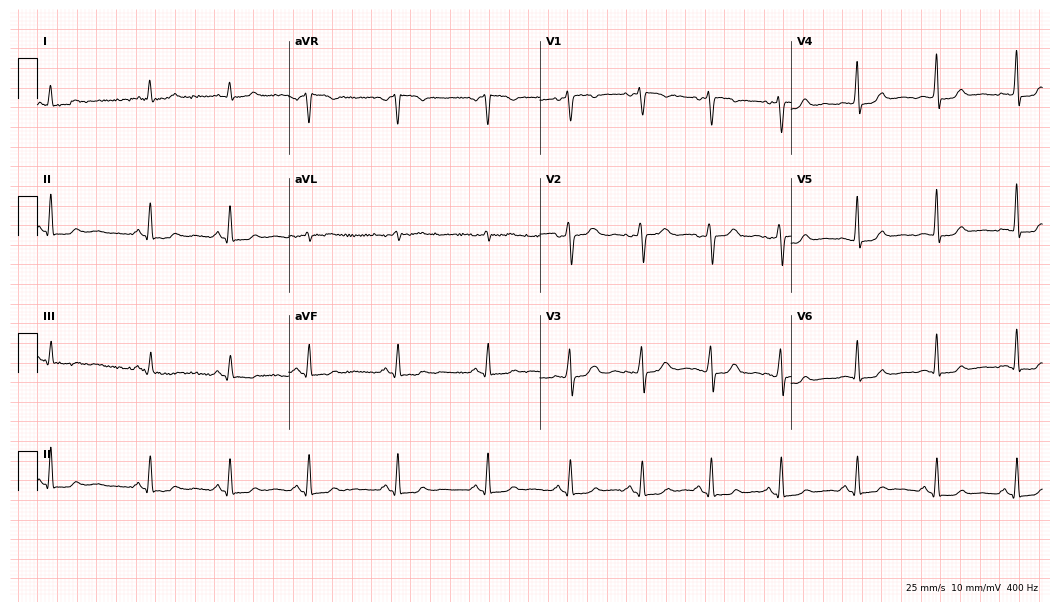
12-lead ECG (10.2-second recording at 400 Hz) from a woman, 36 years old. Labelled as a normal ECG.